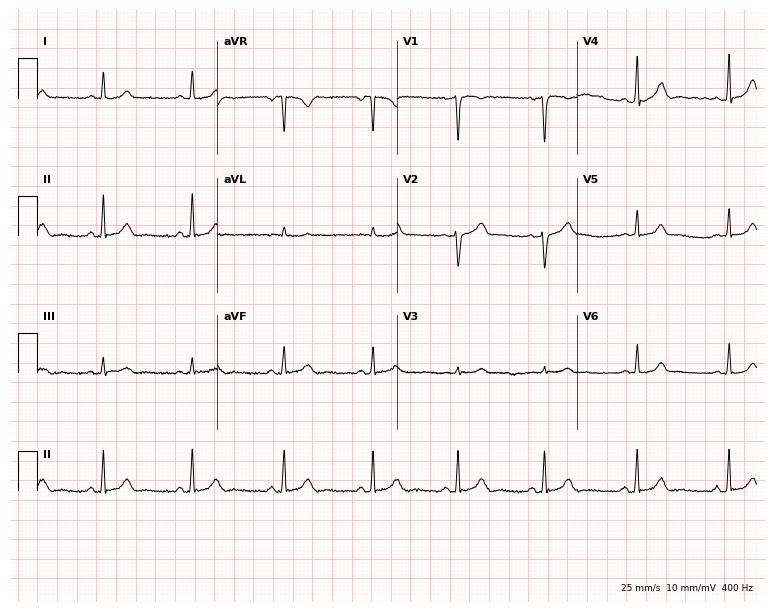
Standard 12-lead ECG recorded from a 25-year-old woman. Read as a normal ECG.